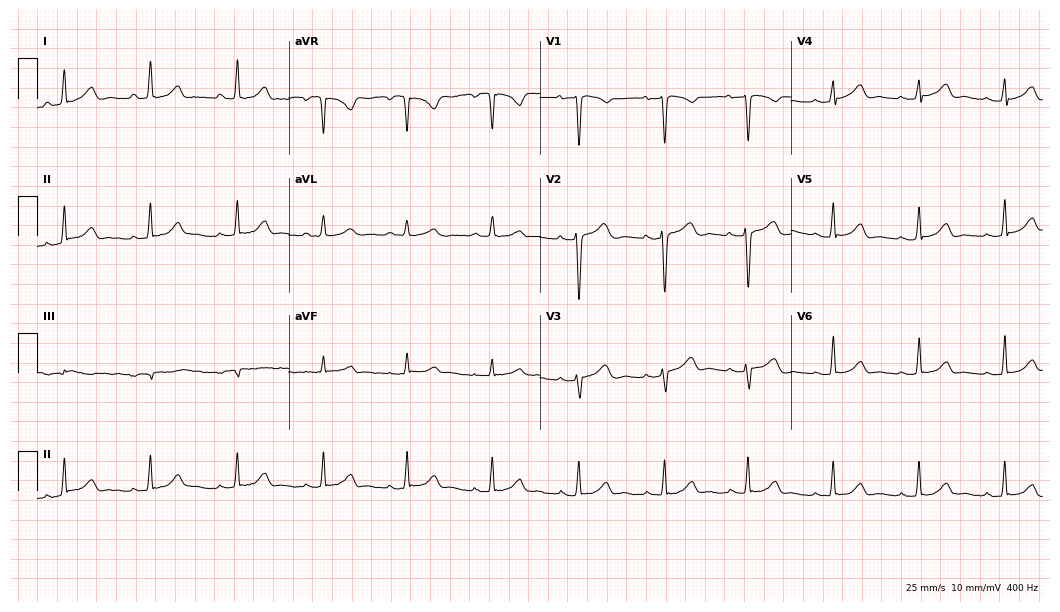
ECG (10.2-second recording at 400 Hz) — a 29-year-old female. Labelled as a normal ECG.